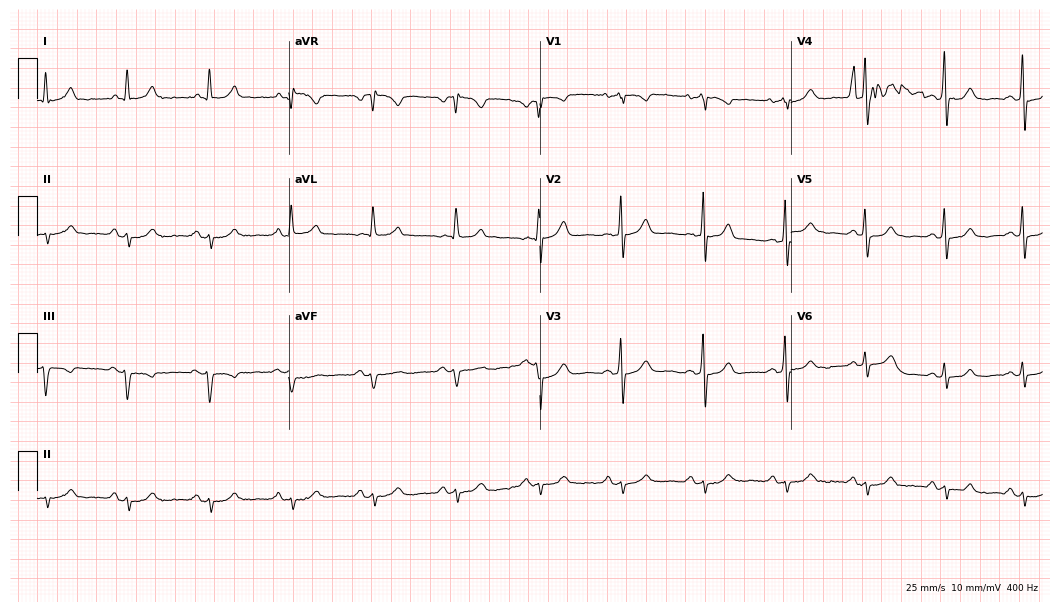
Resting 12-lead electrocardiogram. Patient: a 77-year-old man. None of these six findings is recorded: first-degree AV block, right bundle branch block, left bundle branch block, sinus bradycardia, atrial fibrillation, sinus tachycardia. Only these six findings were labelled.